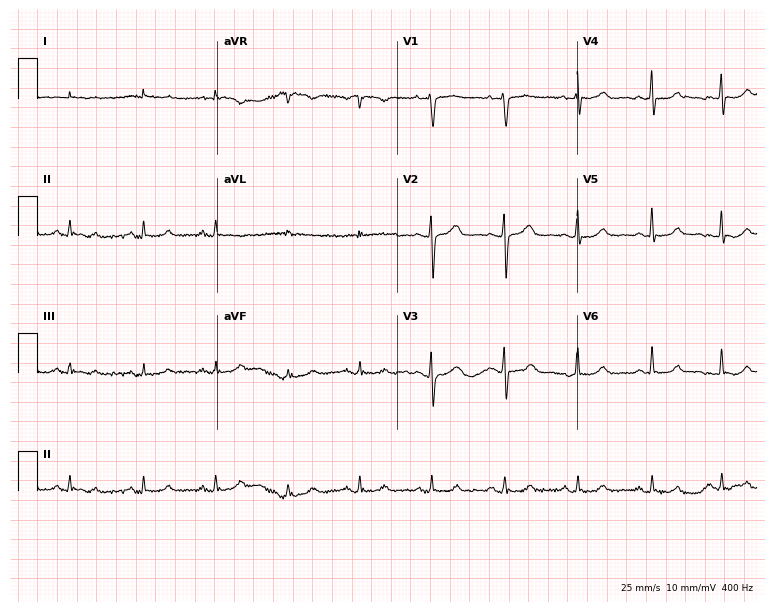
12-lead ECG from a 71-year-old woman. Screened for six findings — first-degree AV block, right bundle branch block (RBBB), left bundle branch block (LBBB), sinus bradycardia, atrial fibrillation (AF), sinus tachycardia — none is recorded. Other findings, if any, are not listed.